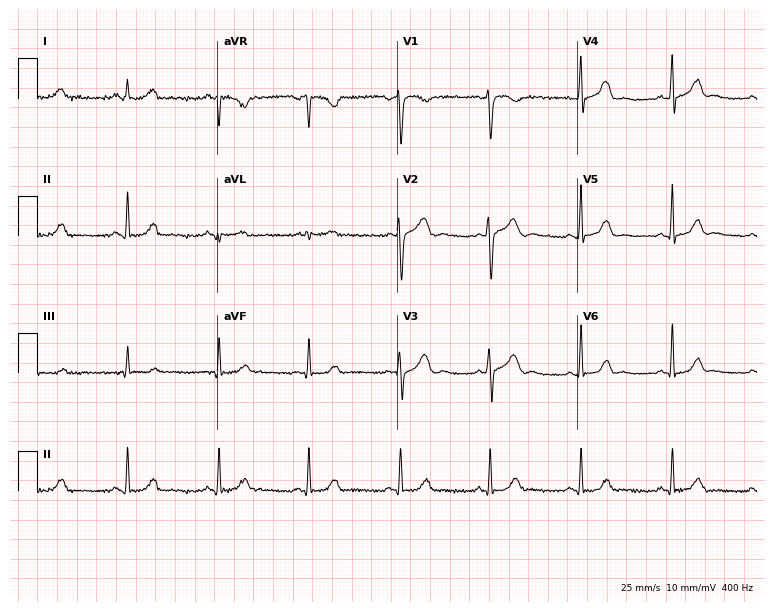
12-lead ECG from a 34-year-old female. Screened for six findings — first-degree AV block, right bundle branch block, left bundle branch block, sinus bradycardia, atrial fibrillation, sinus tachycardia — none is recorded.